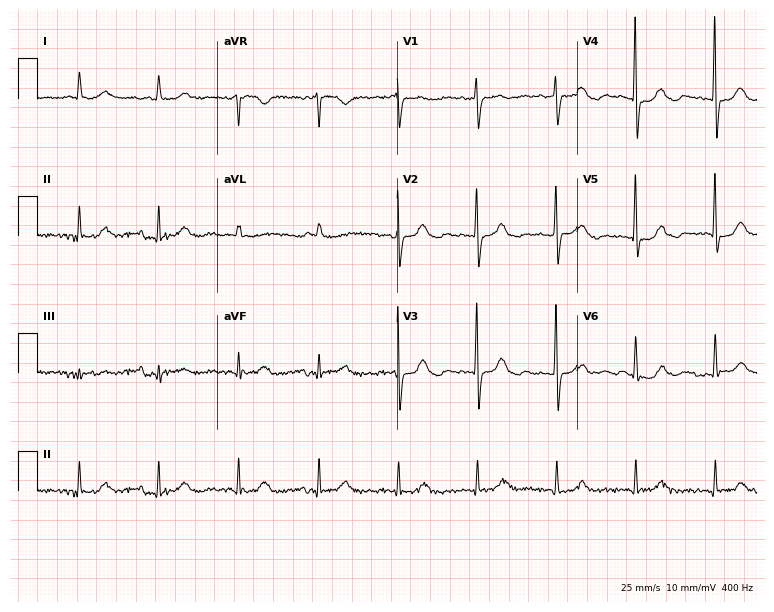
Resting 12-lead electrocardiogram. Patient: a woman, 82 years old. None of these six findings is recorded: first-degree AV block, right bundle branch block (RBBB), left bundle branch block (LBBB), sinus bradycardia, atrial fibrillation (AF), sinus tachycardia.